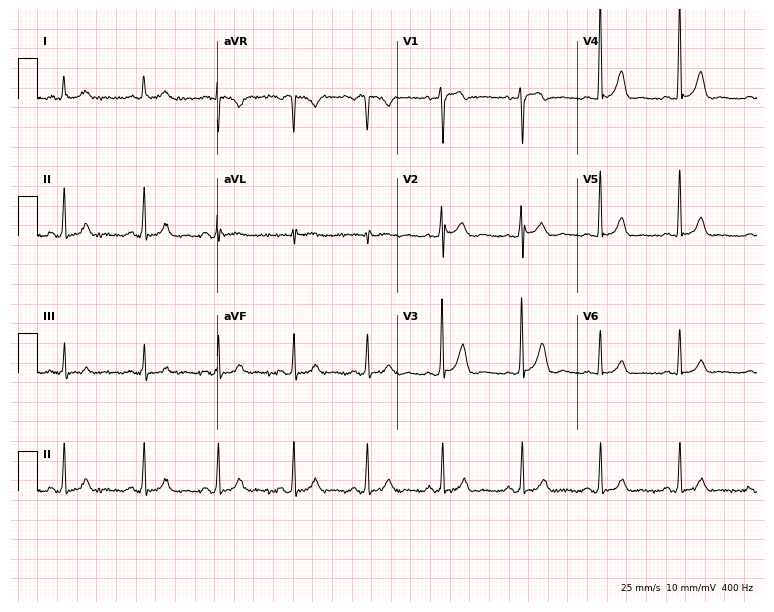
12-lead ECG (7.3-second recording at 400 Hz) from a male, 27 years old. Labelled as a normal ECG.